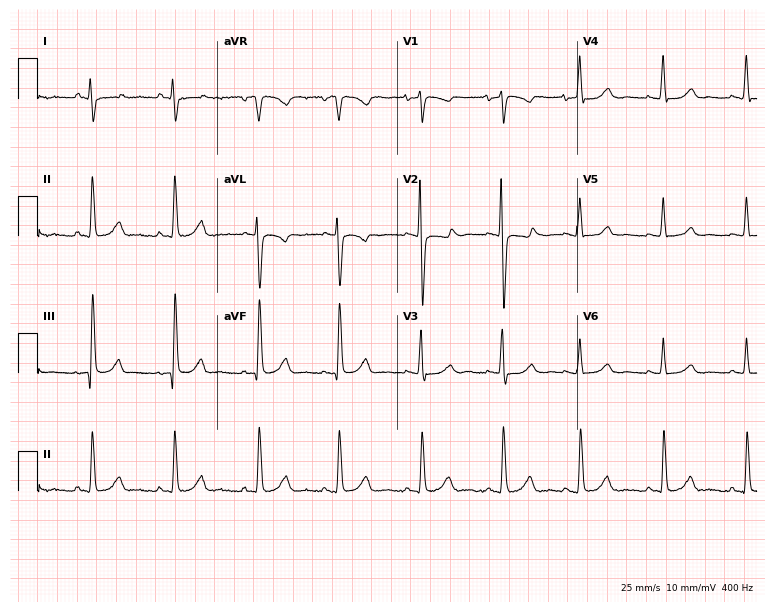
Resting 12-lead electrocardiogram. Patient: a female, 20 years old. Read as a normal ECG.